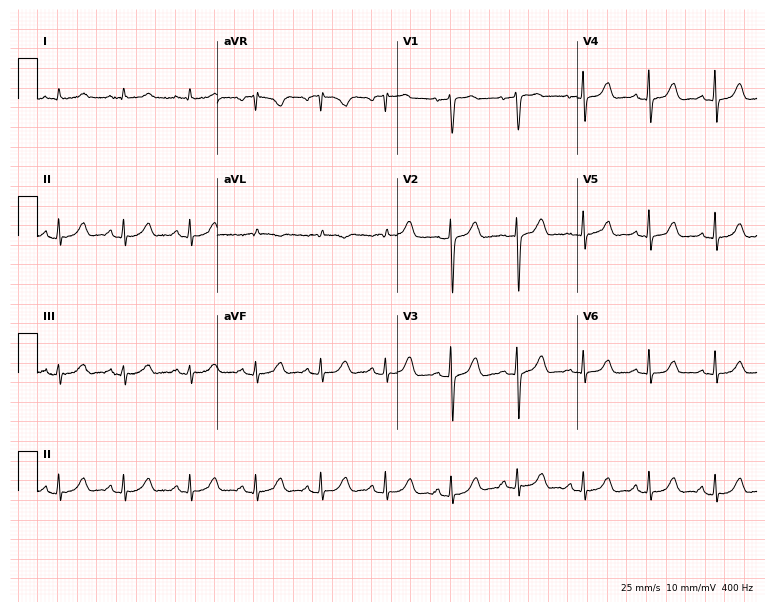
Electrocardiogram, a woman, 59 years old. Overall reading on record: normal ECG.